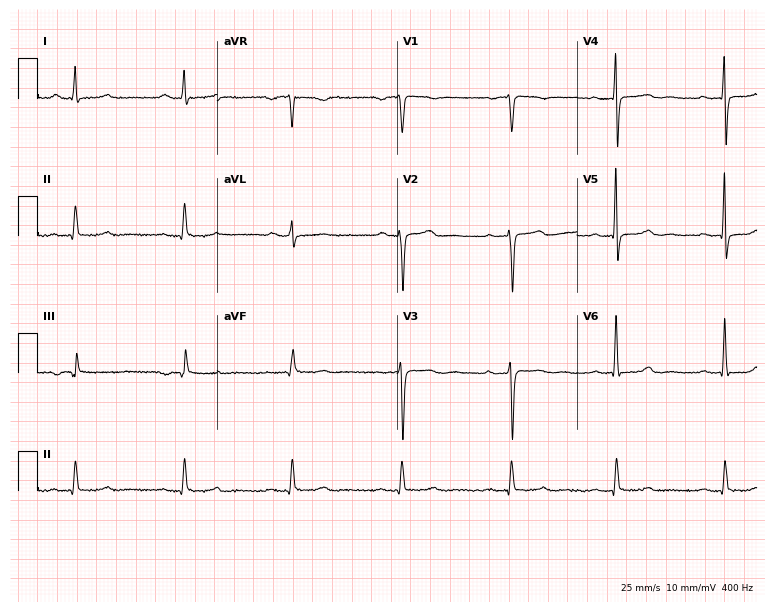
12-lead ECG from a female patient, 76 years old (7.3-second recording at 400 Hz). No first-degree AV block, right bundle branch block (RBBB), left bundle branch block (LBBB), sinus bradycardia, atrial fibrillation (AF) or sinus tachycardia recorded for this tracing.